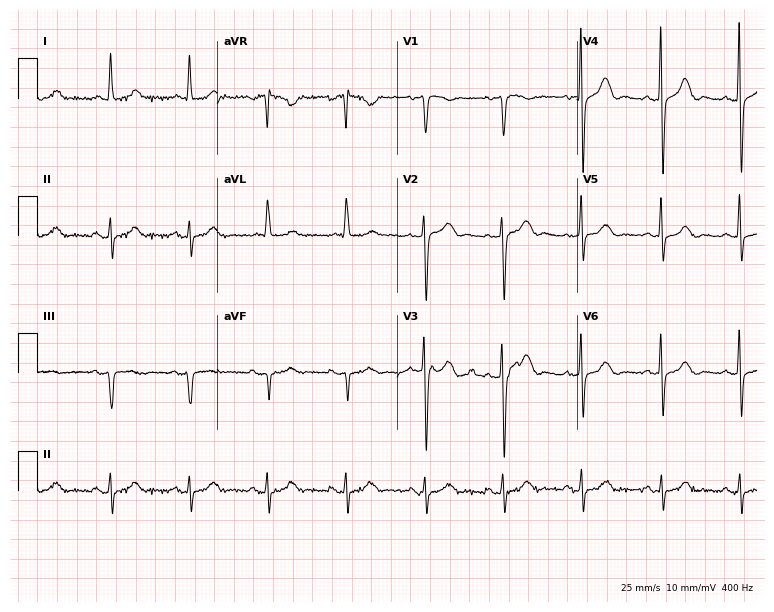
ECG — a female, 69 years old. Screened for six findings — first-degree AV block, right bundle branch block (RBBB), left bundle branch block (LBBB), sinus bradycardia, atrial fibrillation (AF), sinus tachycardia — none is recorded.